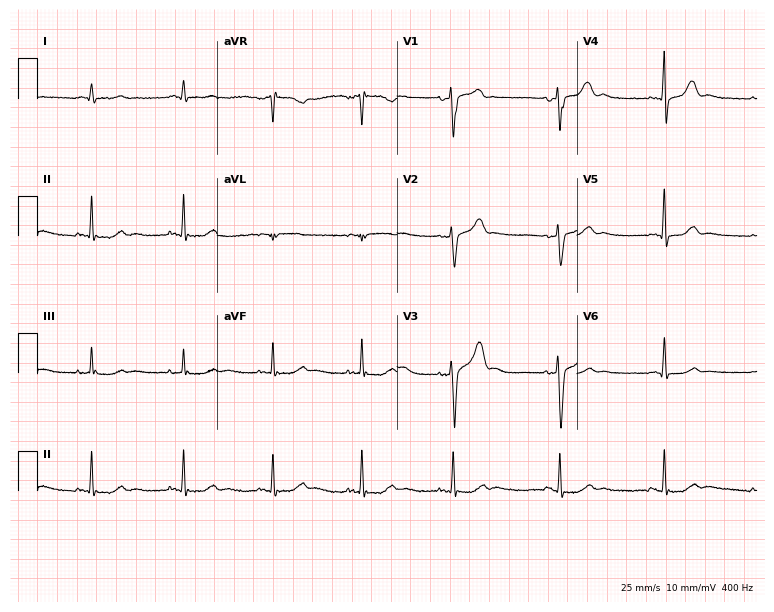
ECG — a man, 67 years old. Screened for six findings — first-degree AV block, right bundle branch block, left bundle branch block, sinus bradycardia, atrial fibrillation, sinus tachycardia — none is recorded. Only these six findings were labelled.